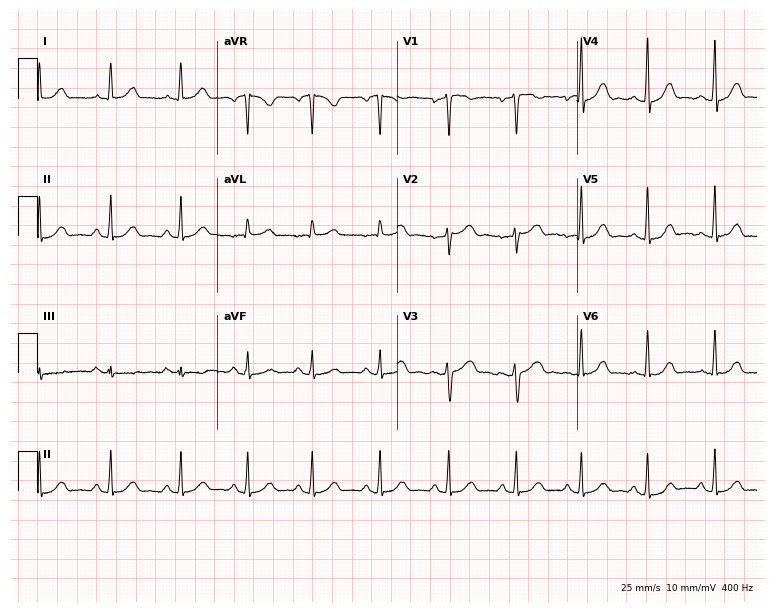
Electrocardiogram (7.3-second recording at 400 Hz), a woman, 40 years old. Overall reading on record: normal ECG.